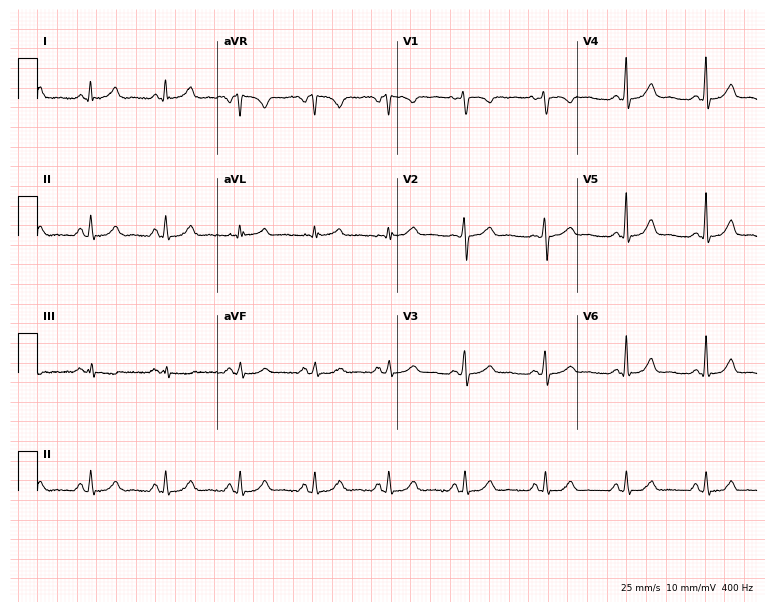
12-lead ECG from a woman, 42 years old. Recorded interpretation: within normal limits.